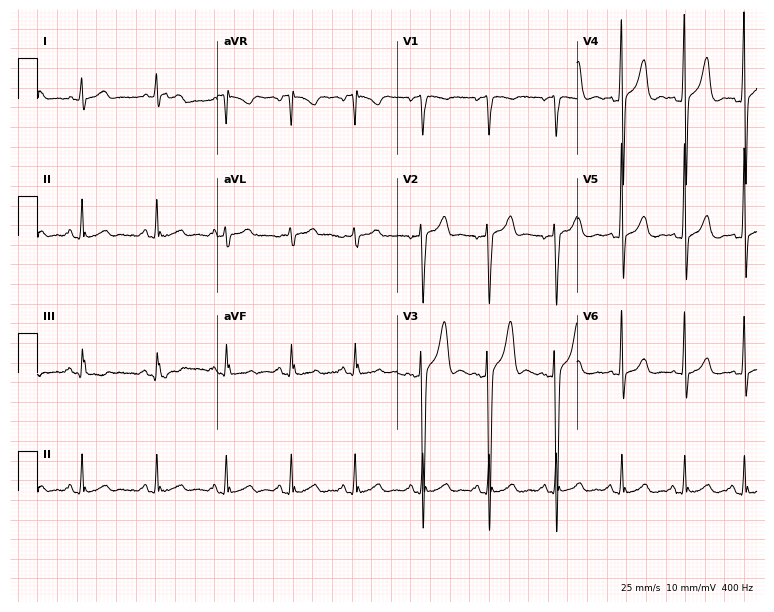
Electrocardiogram, a male, 30 years old. Overall reading on record: normal ECG.